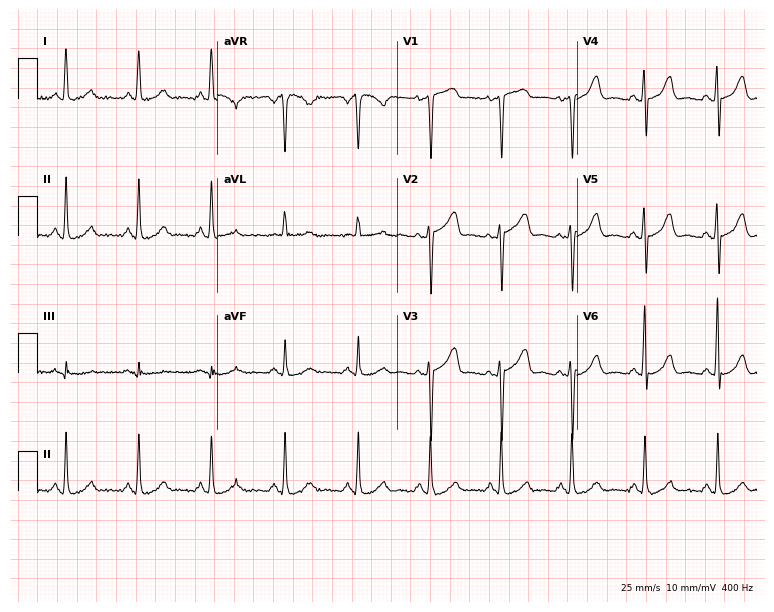
ECG — a 53-year-old woman. Labelled as a normal ECG.